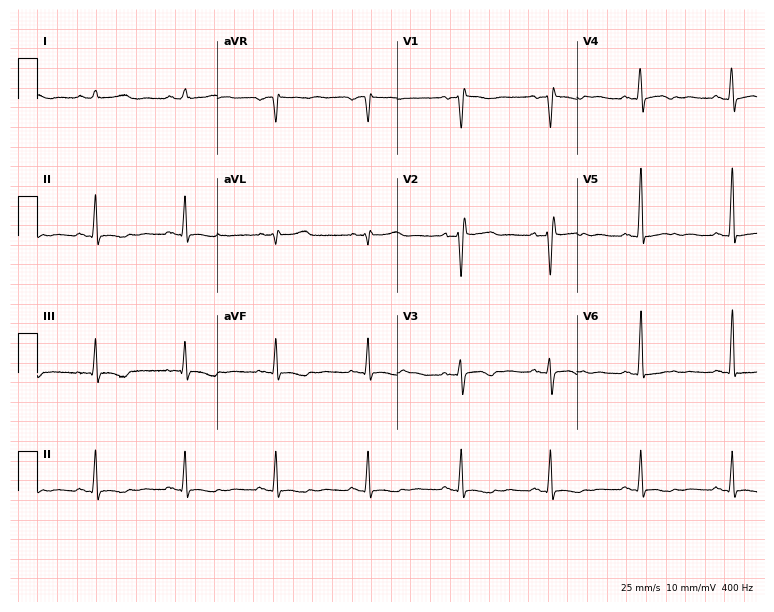
ECG — a 50-year-old female. Screened for six findings — first-degree AV block, right bundle branch block, left bundle branch block, sinus bradycardia, atrial fibrillation, sinus tachycardia — none is recorded.